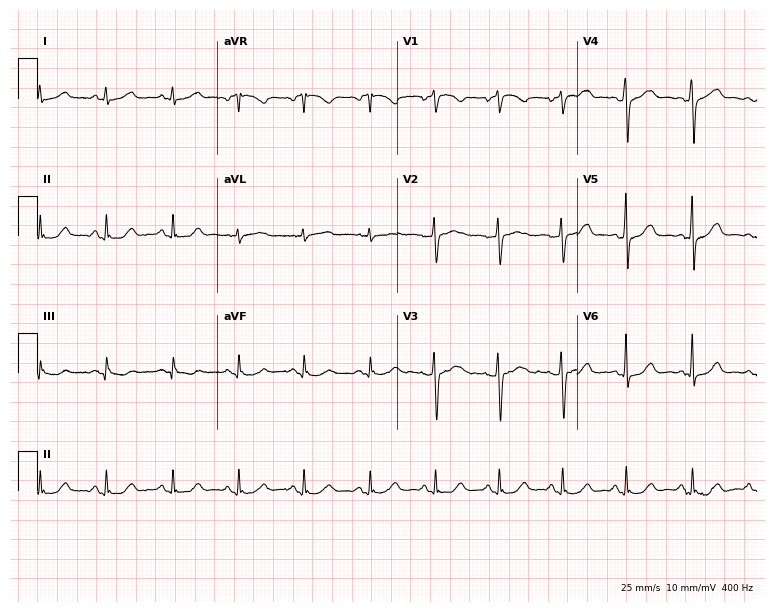
12-lead ECG from a 40-year-old female patient. No first-degree AV block, right bundle branch block, left bundle branch block, sinus bradycardia, atrial fibrillation or sinus tachycardia recorded for this tracing.